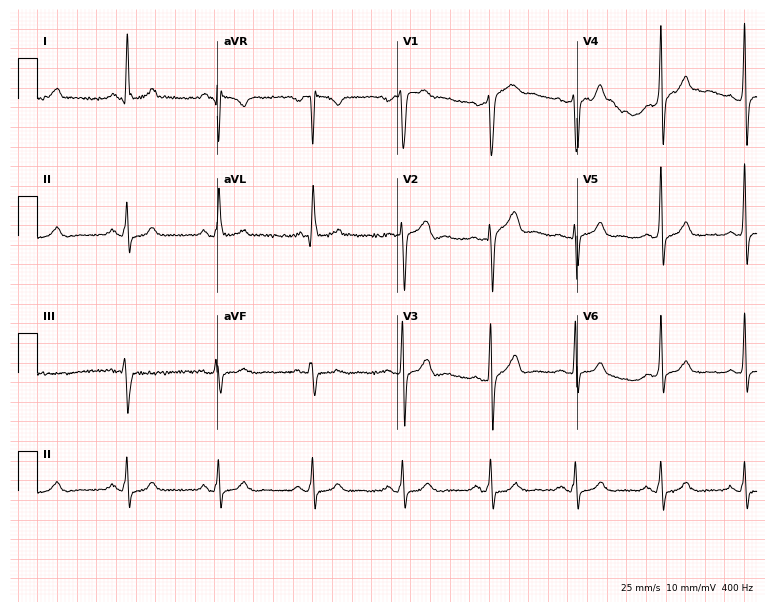
Electrocardiogram (7.3-second recording at 400 Hz), a 36-year-old man. Overall reading on record: normal ECG.